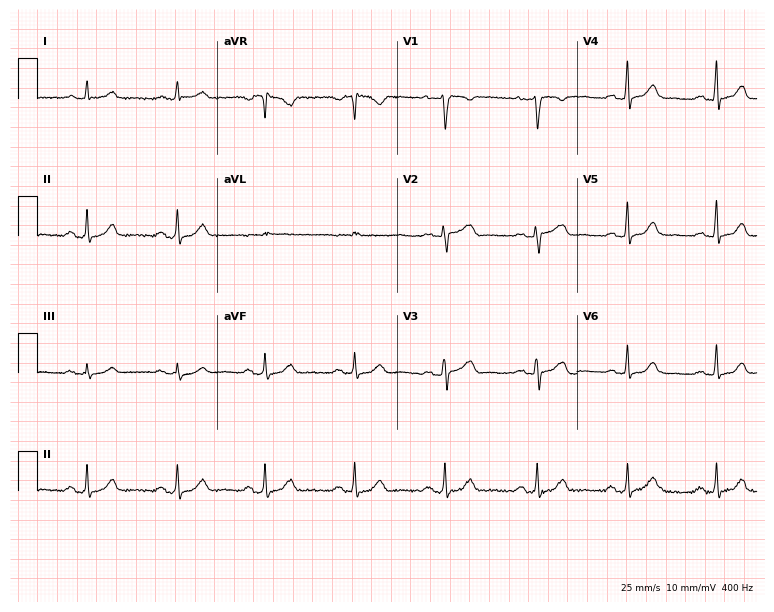
12-lead ECG from a 58-year-old female patient (7.3-second recording at 400 Hz). No first-degree AV block, right bundle branch block, left bundle branch block, sinus bradycardia, atrial fibrillation or sinus tachycardia recorded for this tracing.